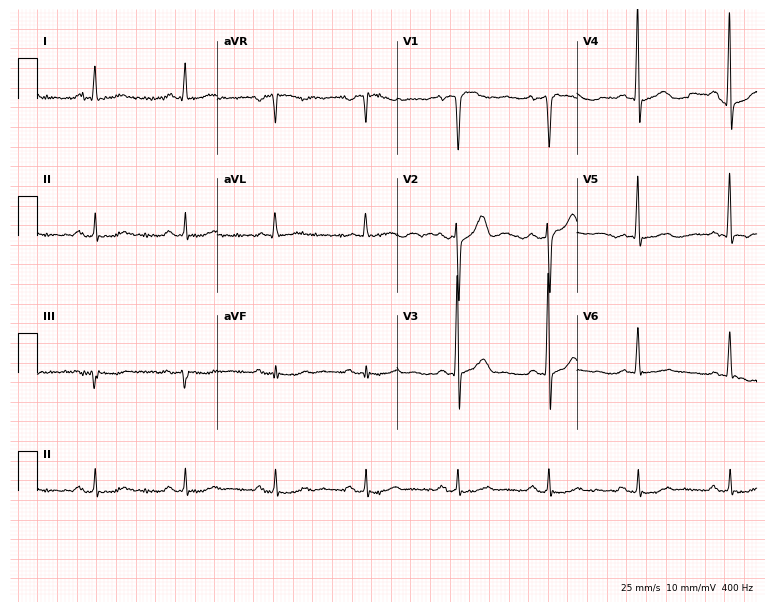
Resting 12-lead electrocardiogram (7.3-second recording at 400 Hz). Patient: a male, 78 years old. Read as a normal ECG.